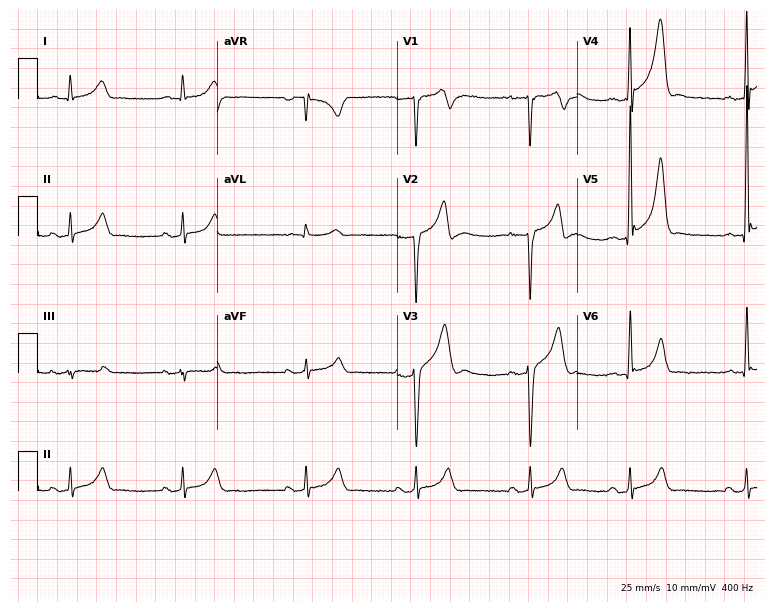
ECG — a male patient, 30 years old. Screened for six findings — first-degree AV block, right bundle branch block, left bundle branch block, sinus bradycardia, atrial fibrillation, sinus tachycardia — none is recorded. Findings outside these six are not listed.